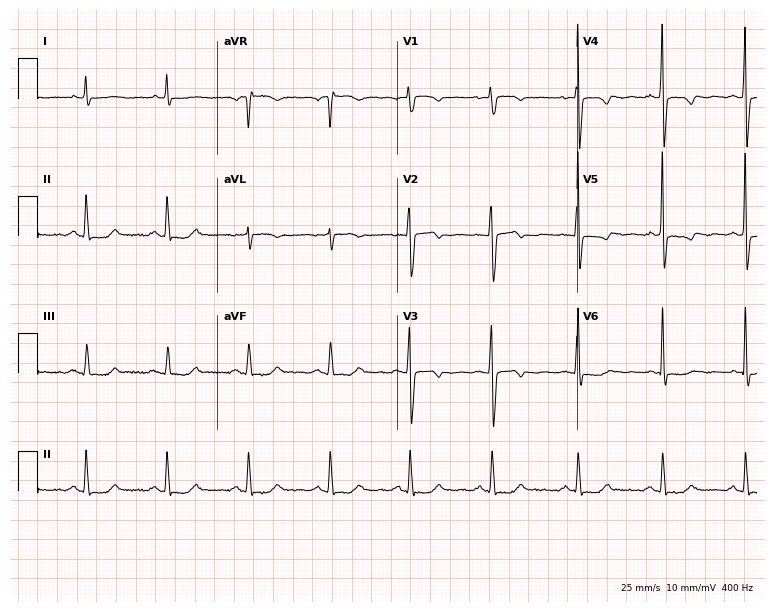
12-lead ECG (7.3-second recording at 400 Hz) from a female patient, 53 years old. Screened for six findings — first-degree AV block, right bundle branch block, left bundle branch block, sinus bradycardia, atrial fibrillation, sinus tachycardia — none is recorded. Findings outside these six are not listed.